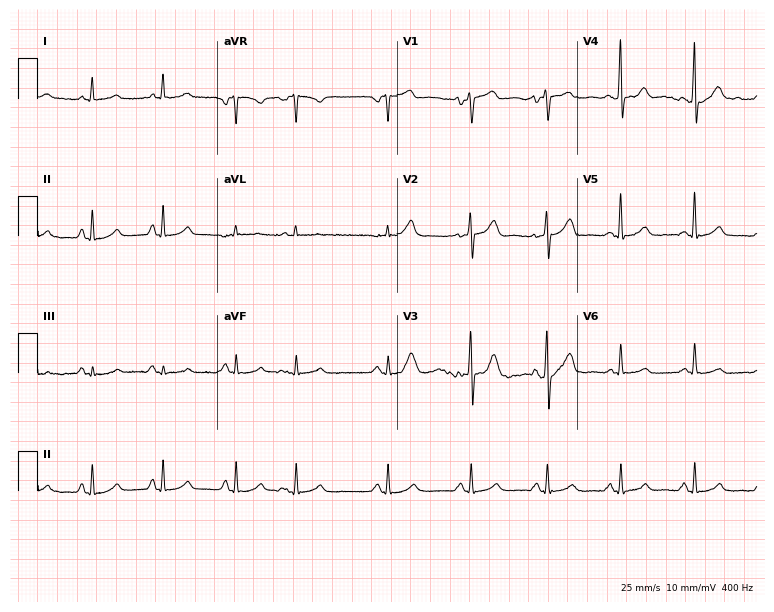
ECG — a male patient, 57 years old. Screened for six findings — first-degree AV block, right bundle branch block (RBBB), left bundle branch block (LBBB), sinus bradycardia, atrial fibrillation (AF), sinus tachycardia — none is recorded. Findings outside these six are not listed.